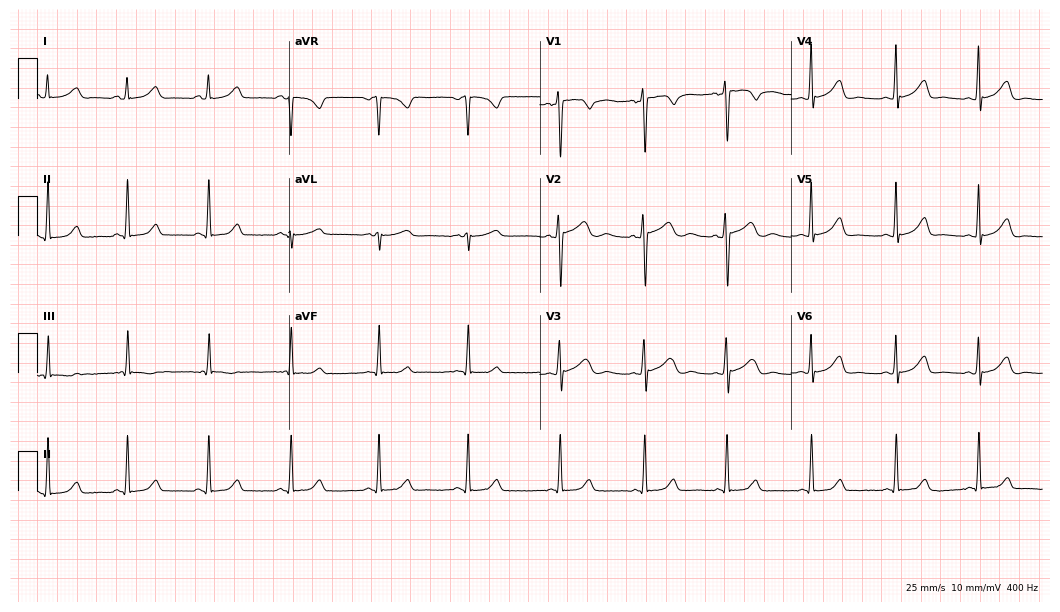
Electrocardiogram (10.2-second recording at 400 Hz), a female patient, 33 years old. Overall reading on record: normal ECG.